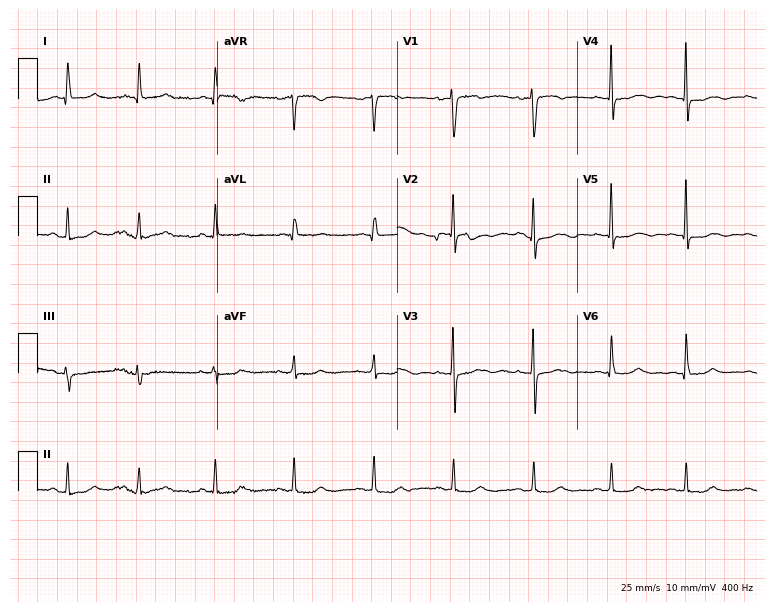
Electrocardiogram, a female patient, 52 years old. Of the six screened findings (first-degree AV block, right bundle branch block, left bundle branch block, sinus bradycardia, atrial fibrillation, sinus tachycardia), none is recorded. Only these six findings were labelled.